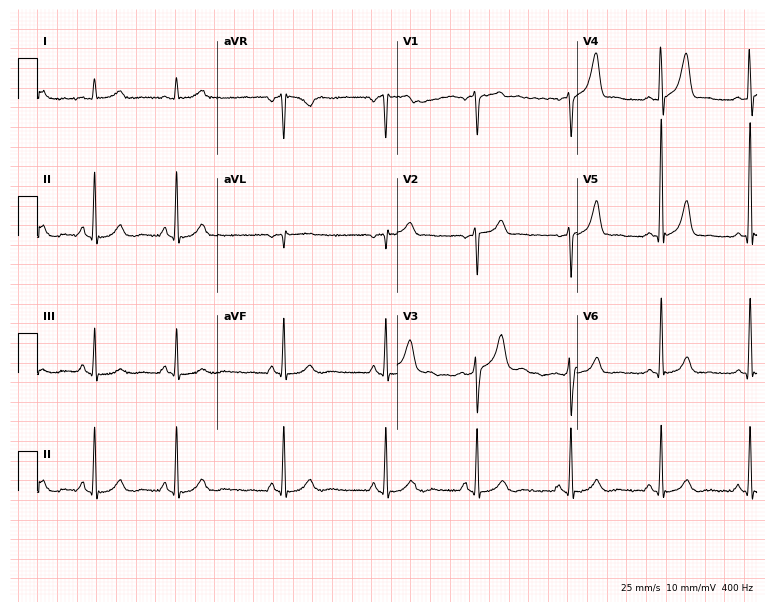
Electrocardiogram, a 46-year-old male patient. Of the six screened findings (first-degree AV block, right bundle branch block, left bundle branch block, sinus bradycardia, atrial fibrillation, sinus tachycardia), none is recorded.